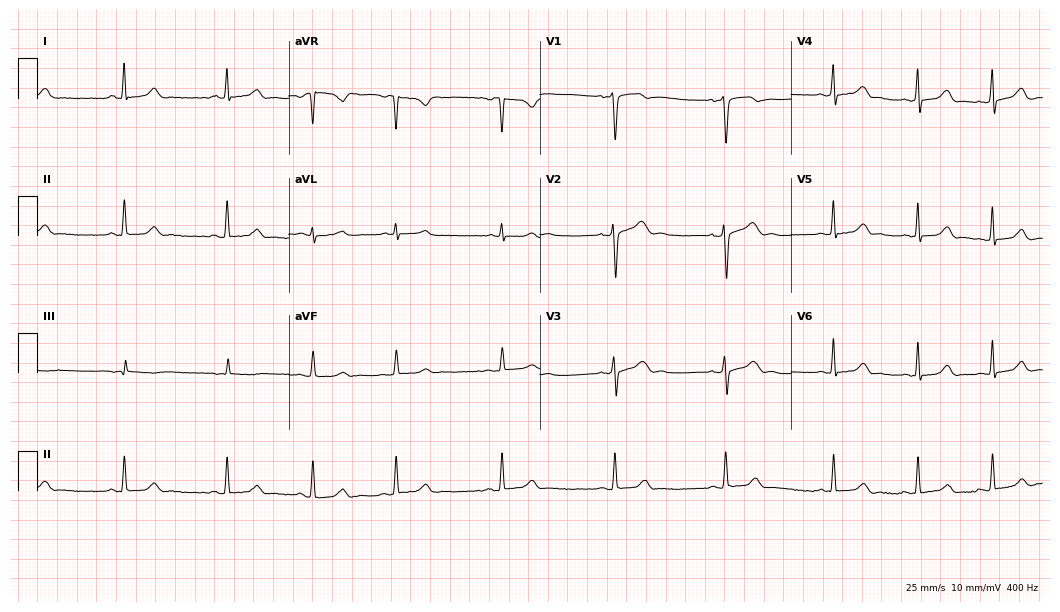
Resting 12-lead electrocardiogram (10.2-second recording at 400 Hz). Patient: a 25-year-old female. None of these six findings is recorded: first-degree AV block, right bundle branch block, left bundle branch block, sinus bradycardia, atrial fibrillation, sinus tachycardia.